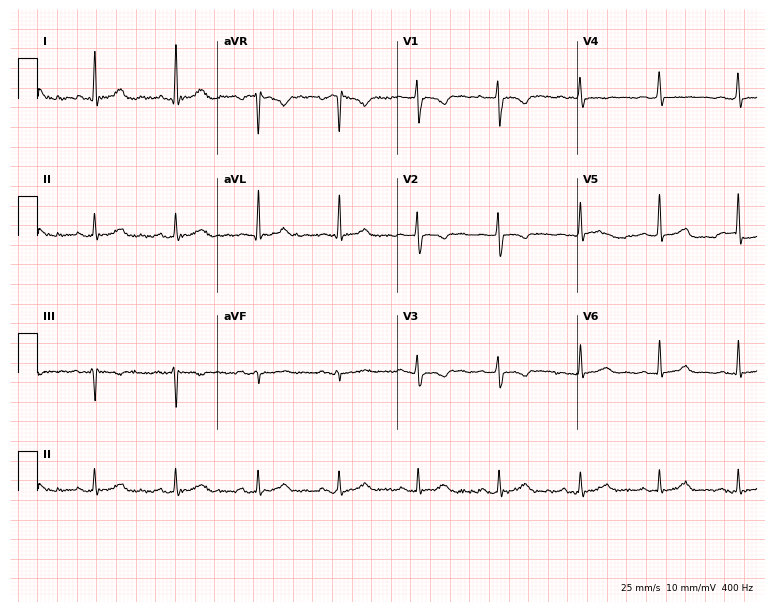
12-lead ECG from a female, 31 years old. Screened for six findings — first-degree AV block, right bundle branch block, left bundle branch block, sinus bradycardia, atrial fibrillation, sinus tachycardia — none is recorded. Other findings, if any, are not listed.